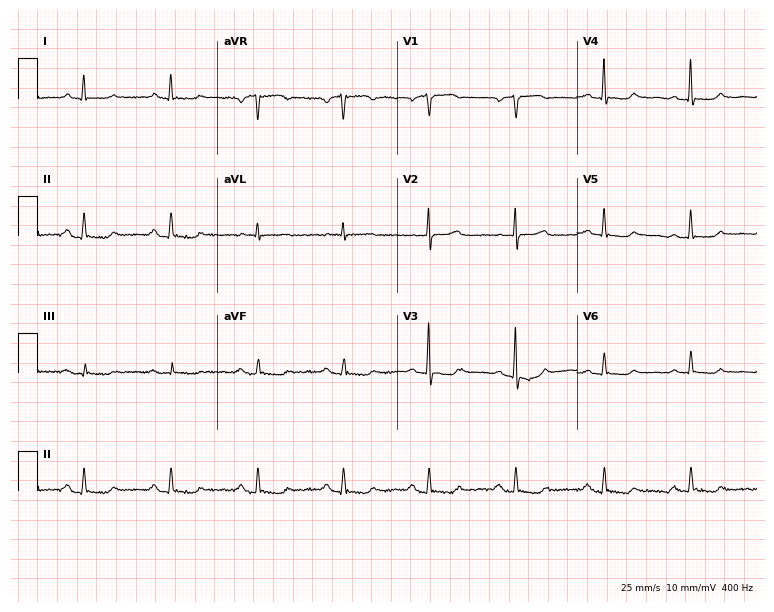
Standard 12-lead ECG recorded from a woman, 53 years old (7.3-second recording at 400 Hz). None of these six findings is recorded: first-degree AV block, right bundle branch block (RBBB), left bundle branch block (LBBB), sinus bradycardia, atrial fibrillation (AF), sinus tachycardia.